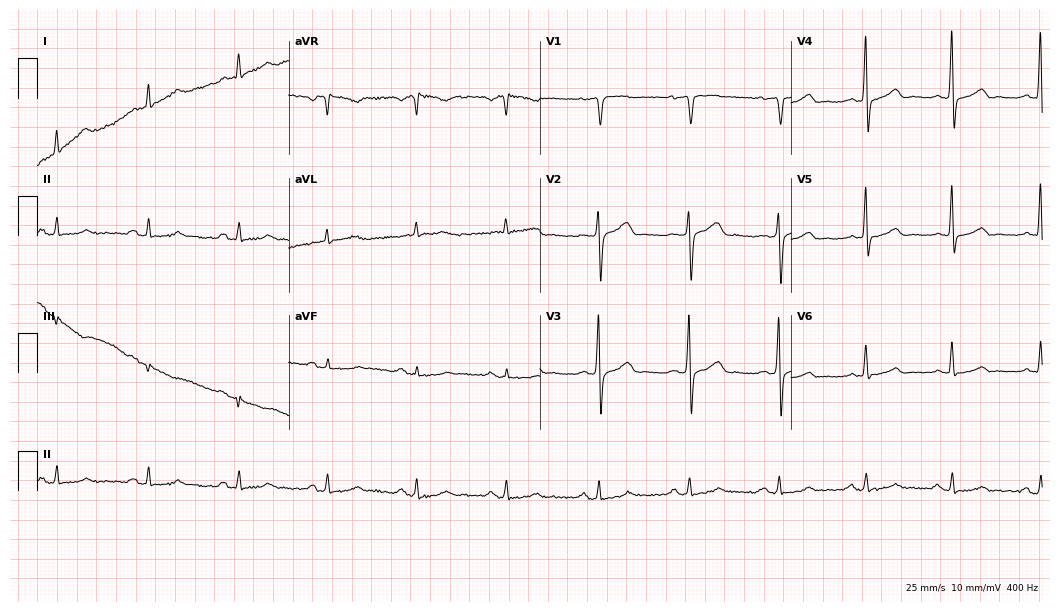
12-lead ECG (10.2-second recording at 400 Hz) from a 57-year-old male. Labelled as a normal ECG.